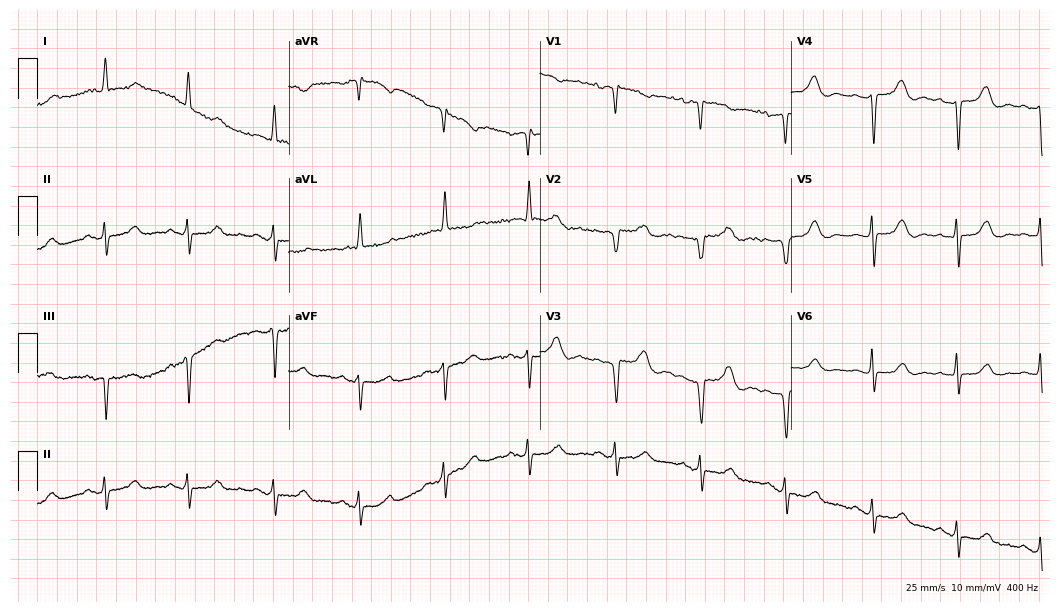
Resting 12-lead electrocardiogram. Patient: a woman, 75 years old. None of these six findings is recorded: first-degree AV block, right bundle branch block (RBBB), left bundle branch block (LBBB), sinus bradycardia, atrial fibrillation (AF), sinus tachycardia. Other findings, if any, are not listed.